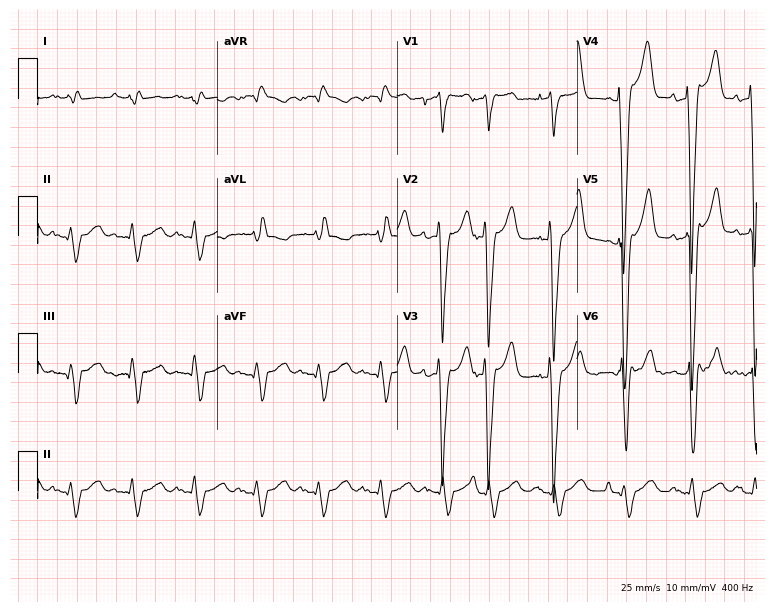
Resting 12-lead electrocardiogram (7.3-second recording at 400 Hz). Patient: a 62-year-old male. The tracing shows left bundle branch block (LBBB).